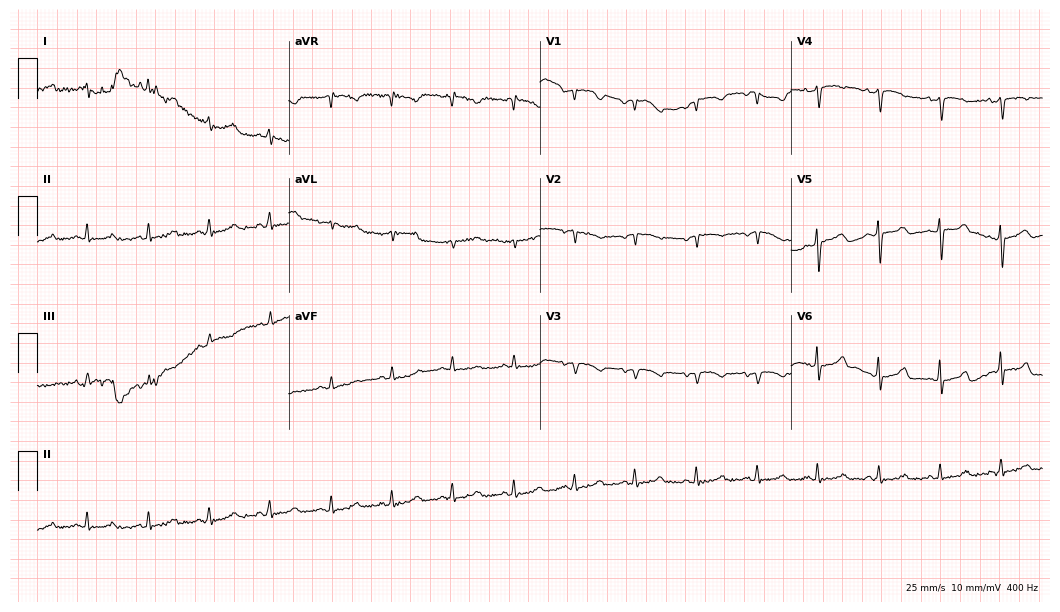
12-lead ECG (10.2-second recording at 400 Hz) from a woman, 57 years old. Screened for six findings — first-degree AV block, right bundle branch block, left bundle branch block, sinus bradycardia, atrial fibrillation, sinus tachycardia — none is recorded. Other findings, if any, are not listed.